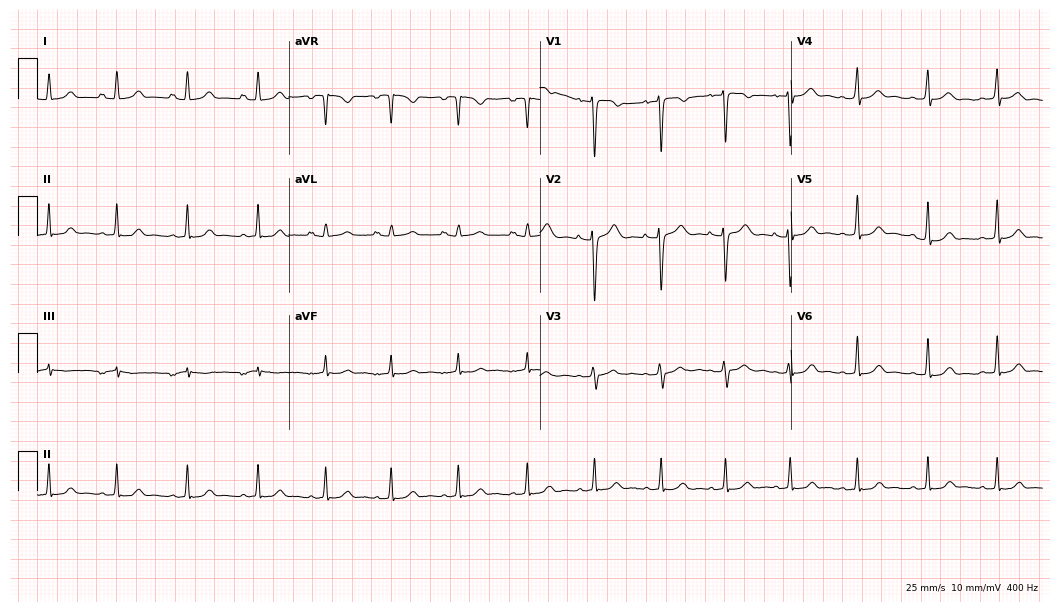
12-lead ECG from a female, 18 years old. Recorded interpretation: within normal limits.